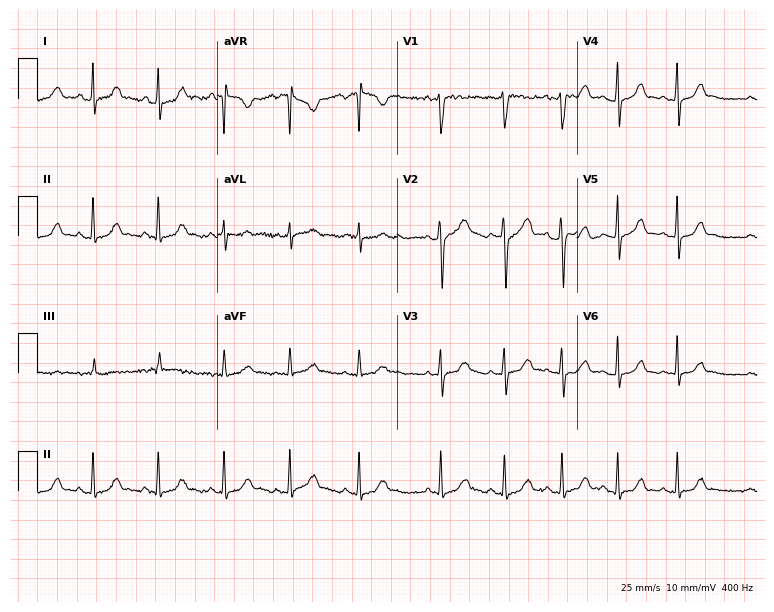
Standard 12-lead ECG recorded from a 20-year-old female patient. Read as a normal ECG.